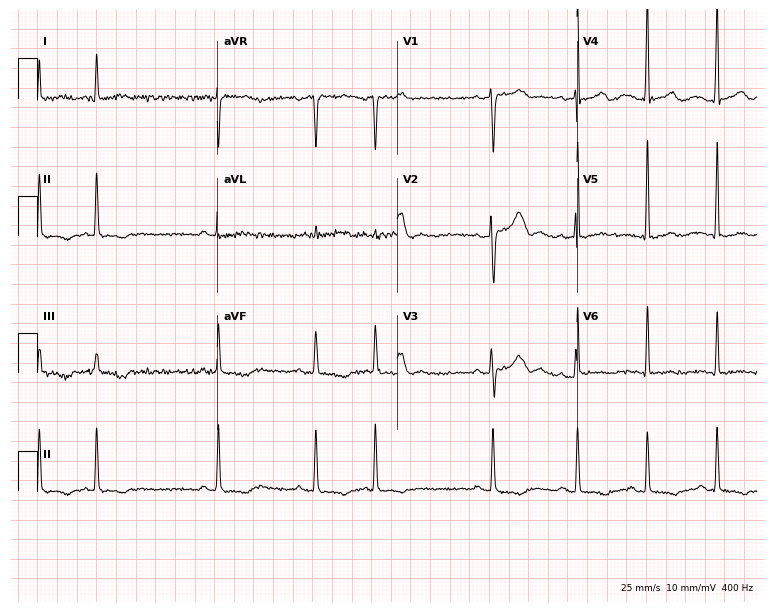
ECG (7.3-second recording at 400 Hz) — an 80-year-old man. Screened for six findings — first-degree AV block, right bundle branch block, left bundle branch block, sinus bradycardia, atrial fibrillation, sinus tachycardia — none is recorded. Findings outside these six are not listed.